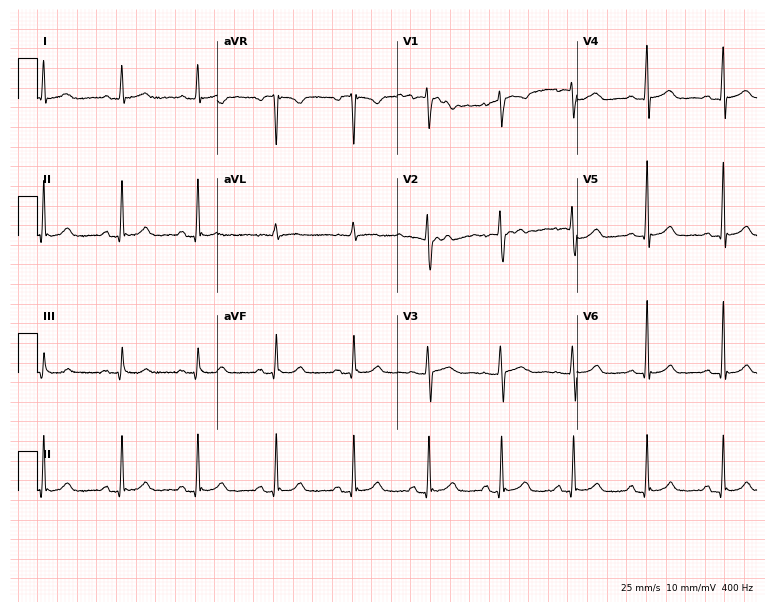
Resting 12-lead electrocardiogram. Patient: a woman, 51 years old. None of these six findings is recorded: first-degree AV block, right bundle branch block, left bundle branch block, sinus bradycardia, atrial fibrillation, sinus tachycardia. Only these six findings were labelled.